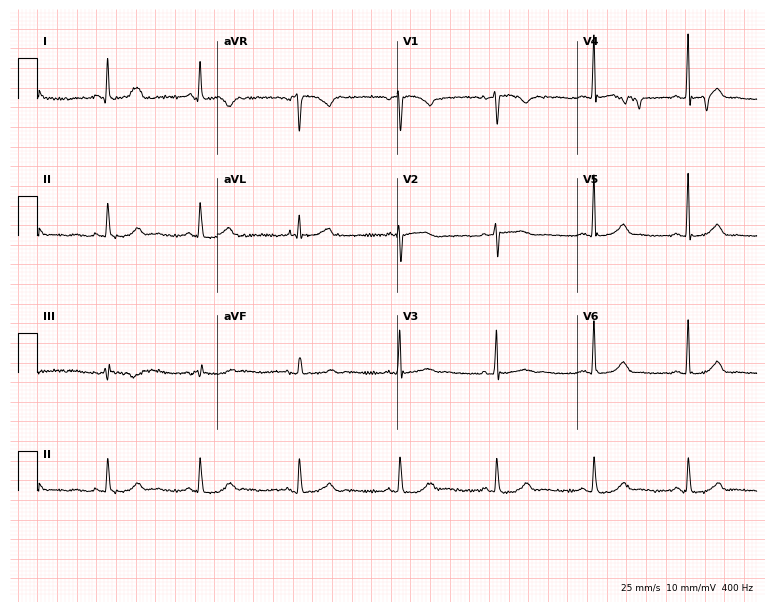
12-lead ECG from a female patient, 33 years old (7.3-second recording at 400 Hz). Recorded interpretation: within normal limits.